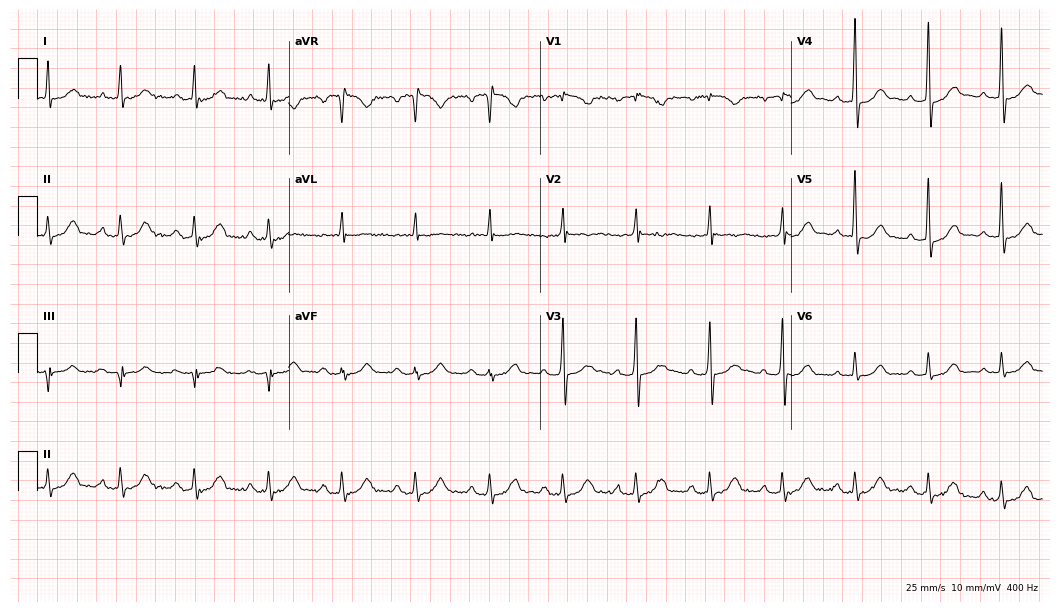
12-lead ECG (10.2-second recording at 400 Hz) from a 71-year-old male patient. Labelled as a normal ECG.